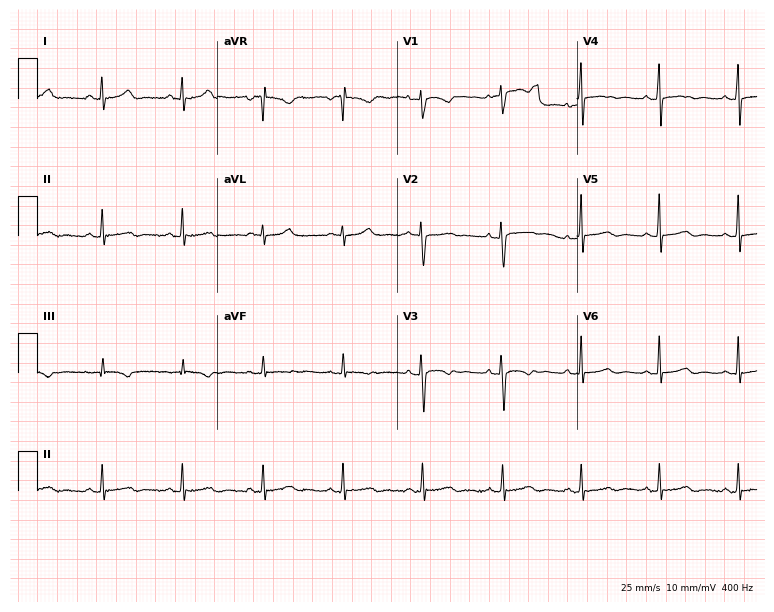
Resting 12-lead electrocardiogram (7.3-second recording at 400 Hz). Patient: a woman, 43 years old. None of these six findings is recorded: first-degree AV block, right bundle branch block, left bundle branch block, sinus bradycardia, atrial fibrillation, sinus tachycardia.